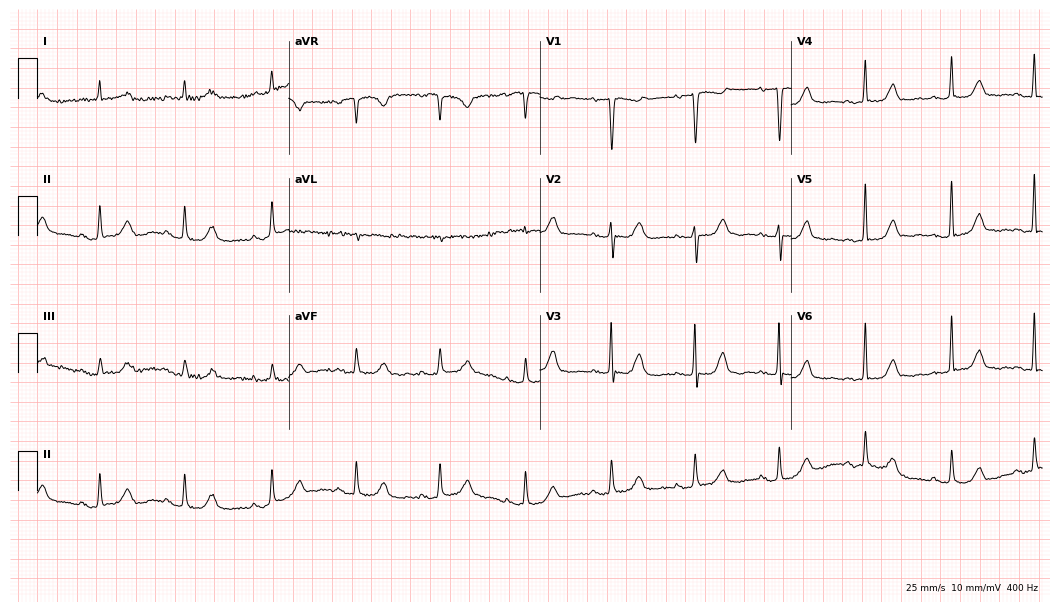
12-lead ECG from a female patient, 84 years old. Recorded interpretation: within normal limits.